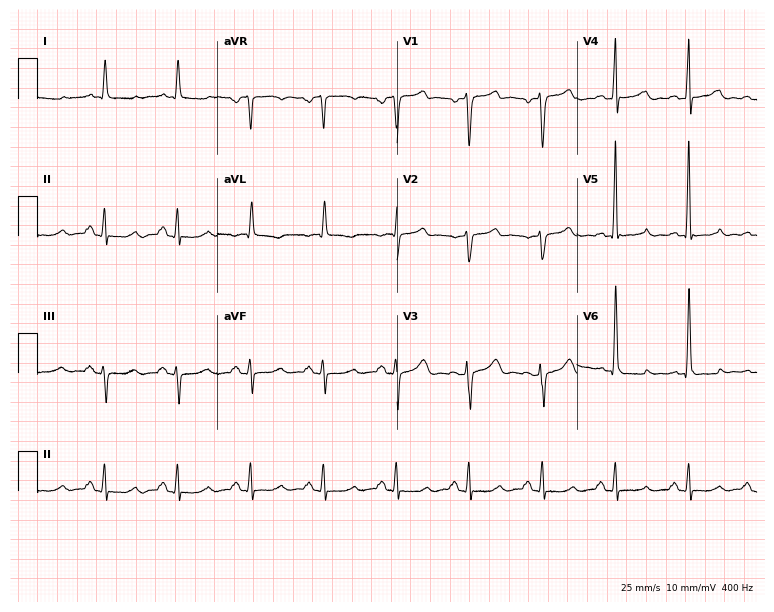
12-lead ECG from a 48-year-old man. No first-degree AV block, right bundle branch block (RBBB), left bundle branch block (LBBB), sinus bradycardia, atrial fibrillation (AF) or sinus tachycardia recorded for this tracing.